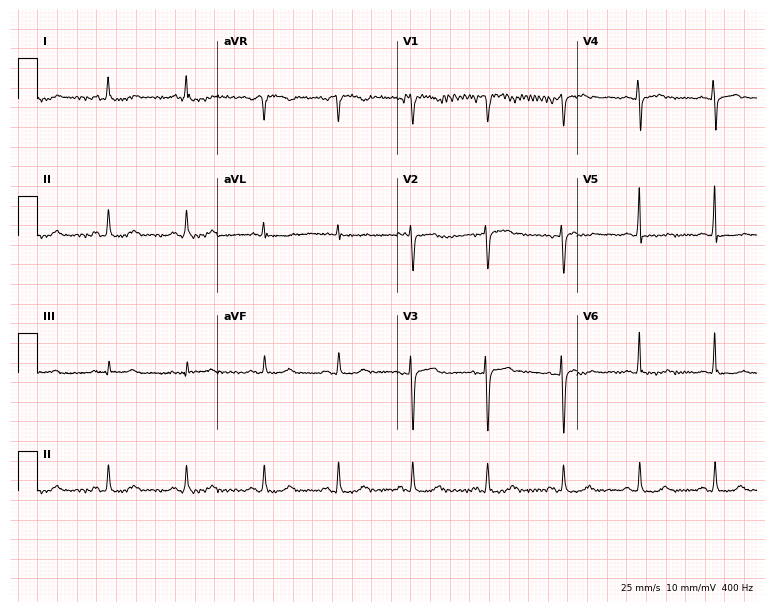
Electrocardiogram (7.3-second recording at 400 Hz), a 49-year-old female. Of the six screened findings (first-degree AV block, right bundle branch block (RBBB), left bundle branch block (LBBB), sinus bradycardia, atrial fibrillation (AF), sinus tachycardia), none is recorded.